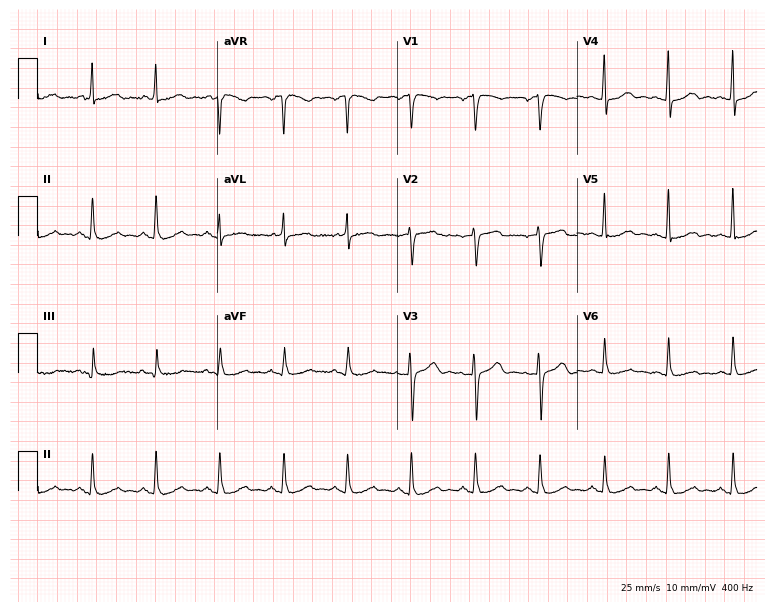
ECG (7.3-second recording at 400 Hz) — a 60-year-old woman. Labelled as a normal ECG.